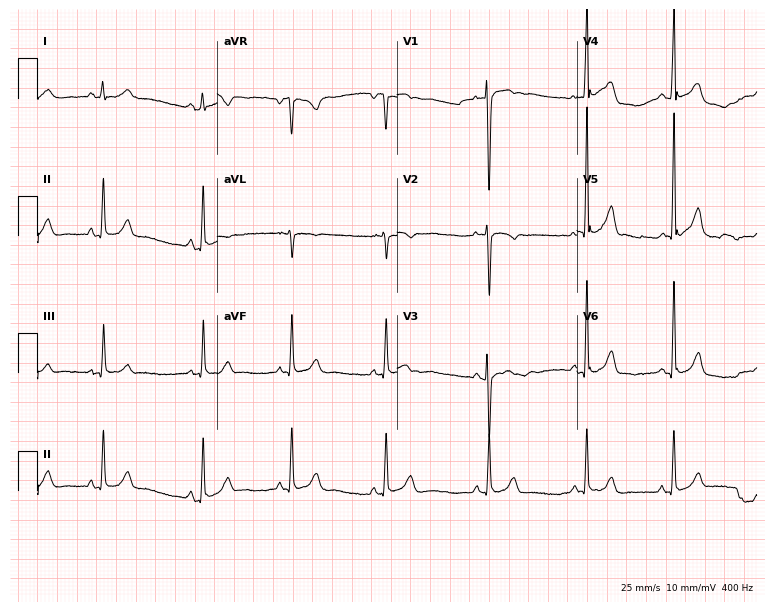
Electrocardiogram (7.3-second recording at 400 Hz), a 17-year-old woman. Overall reading on record: normal ECG.